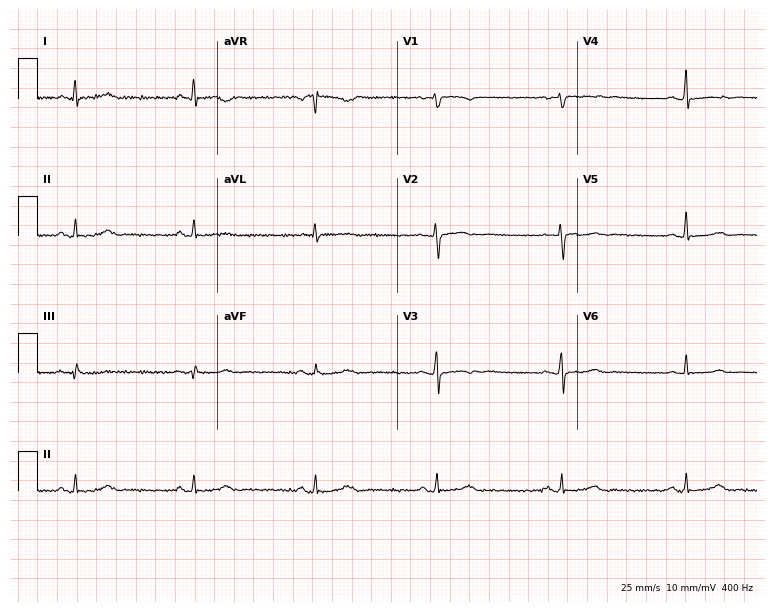
12-lead ECG from a female patient, 57 years old (7.3-second recording at 400 Hz). Shows sinus bradycardia (a sinus rate of 50 beats per minute or less).